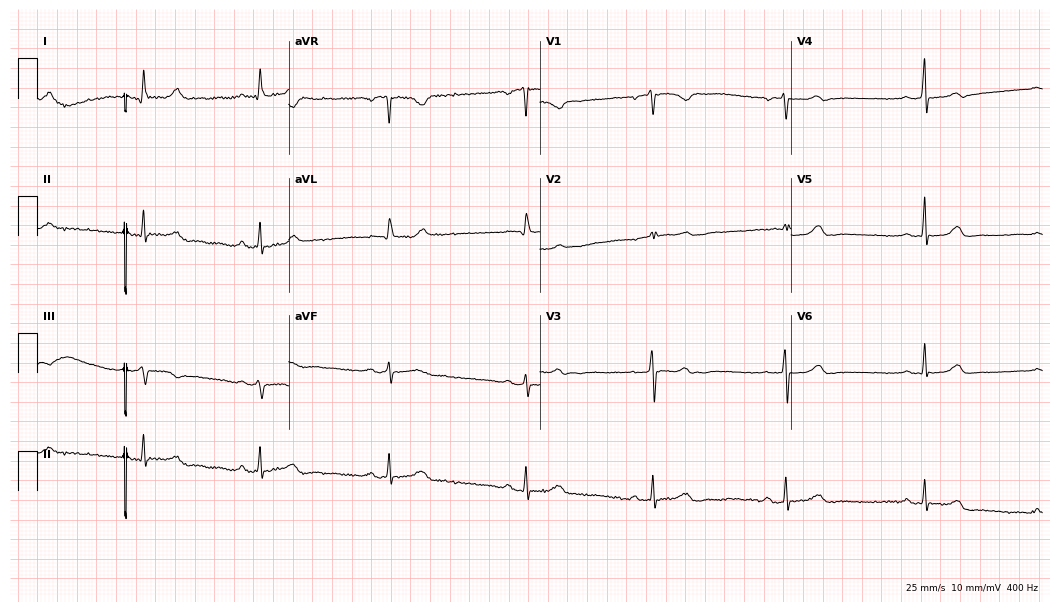
Resting 12-lead electrocardiogram. Patient: a female, 57 years old. None of these six findings is recorded: first-degree AV block, right bundle branch block (RBBB), left bundle branch block (LBBB), sinus bradycardia, atrial fibrillation (AF), sinus tachycardia.